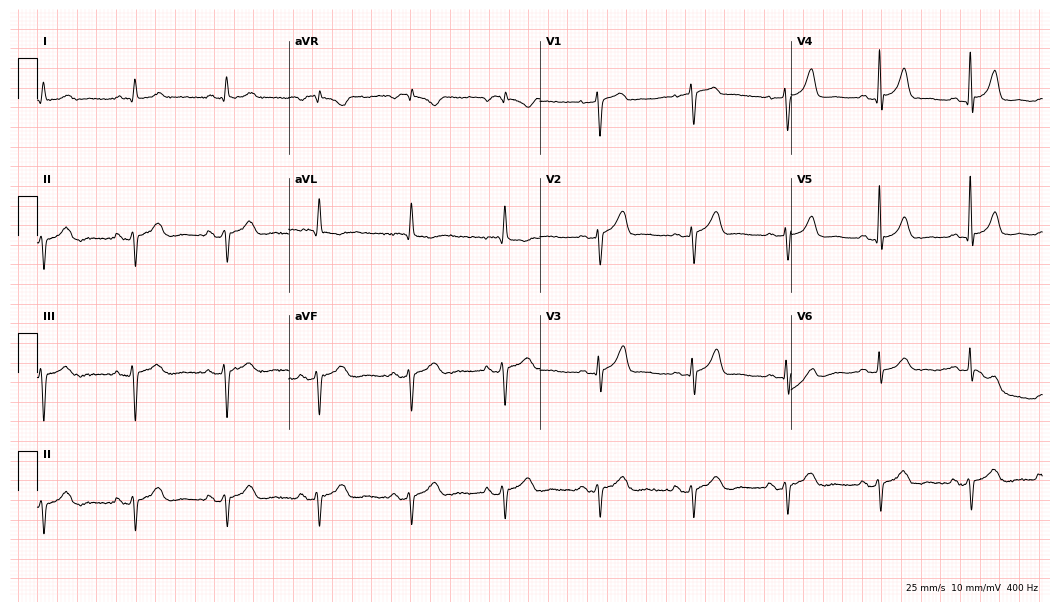
Standard 12-lead ECG recorded from a male, 65 years old (10.2-second recording at 400 Hz). None of these six findings is recorded: first-degree AV block, right bundle branch block (RBBB), left bundle branch block (LBBB), sinus bradycardia, atrial fibrillation (AF), sinus tachycardia. Other findings, if any, are not listed.